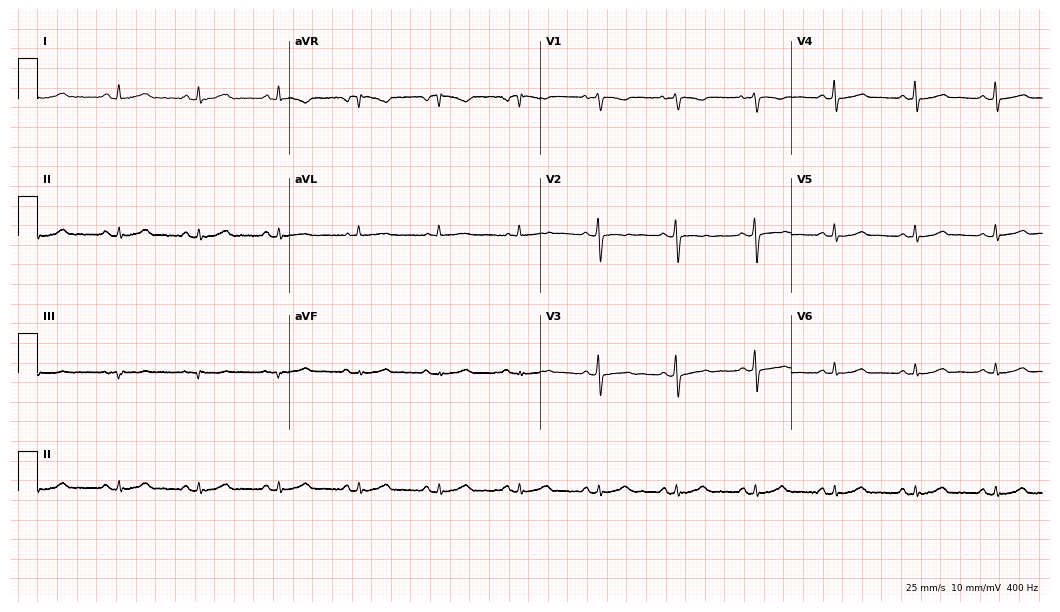
Resting 12-lead electrocardiogram. Patient: a 51-year-old woman. None of these six findings is recorded: first-degree AV block, right bundle branch block, left bundle branch block, sinus bradycardia, atrial fibrillation, sinus tachycardia.